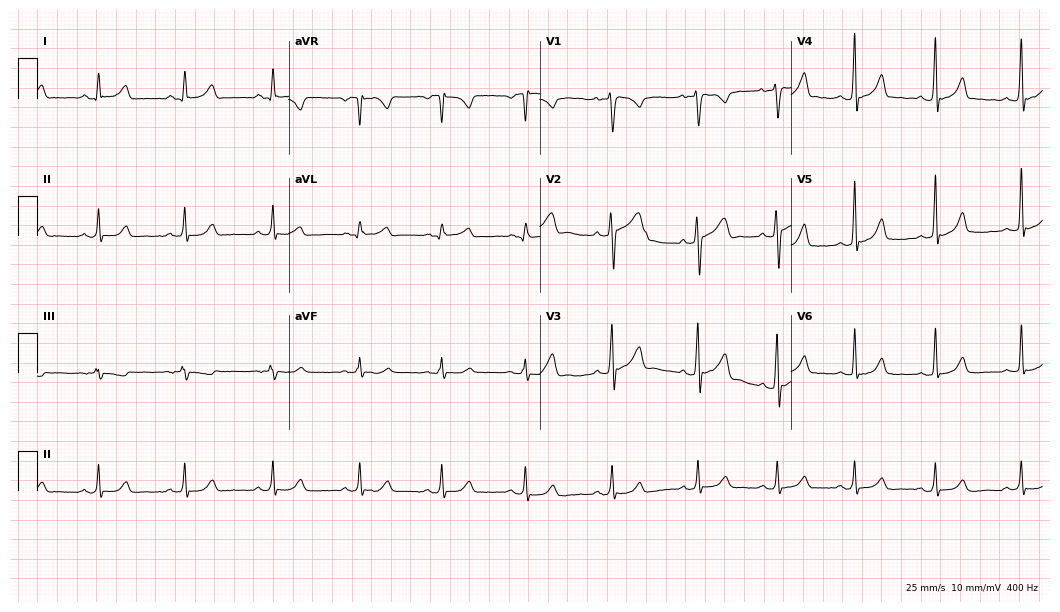
12-lead ECG (10.2-second recording at 400 Hz) from a male, 18 years old. Labelled as a normal ECG.